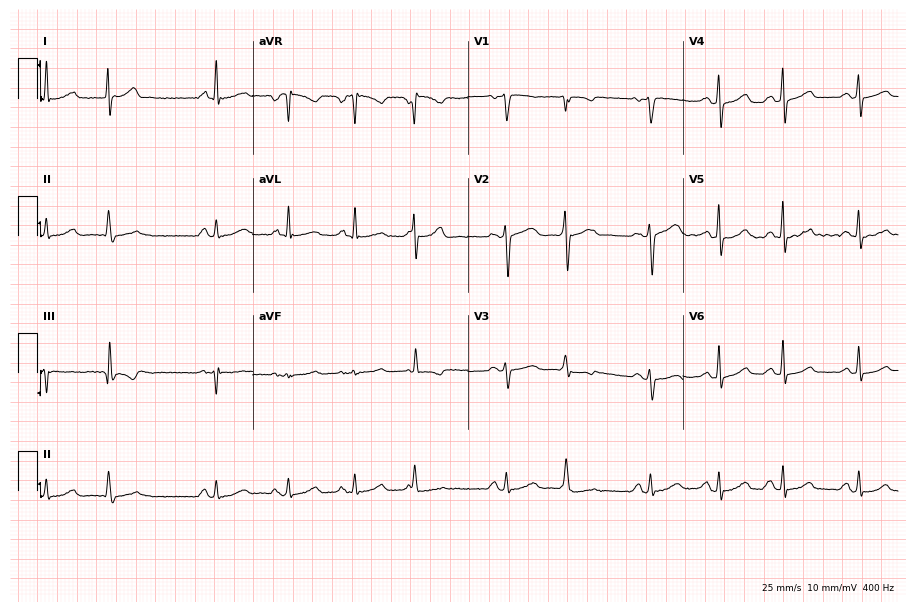
Standard 12-lead ECG recorded from a 49-year-old woman. Read as a normal ECG.